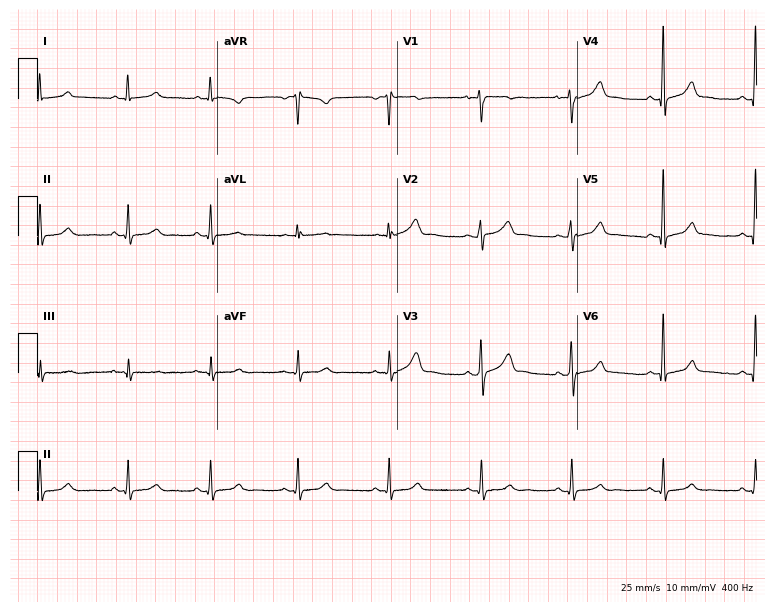
12-lead ECG from a woman, 37 years old. Recorded interpretation: within normal limits.